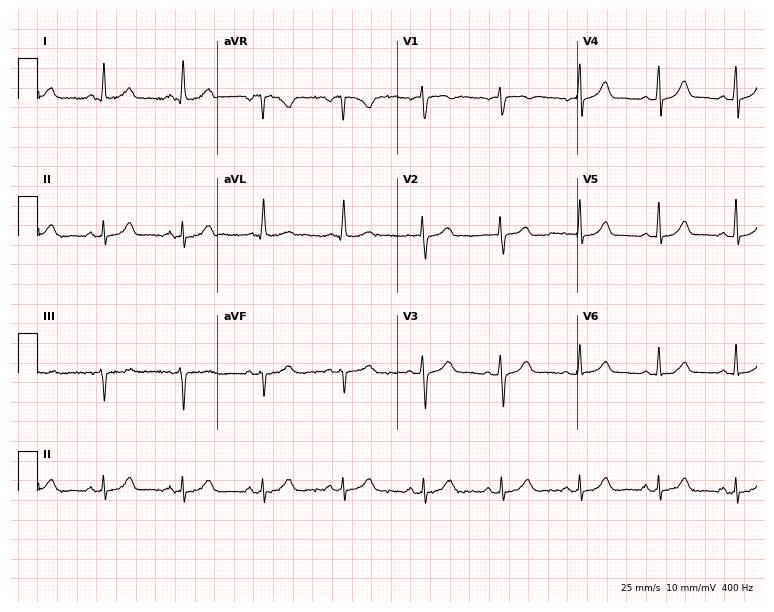
12-lead ECG from a 61-year-old woman. Labelled as a normal ECG.